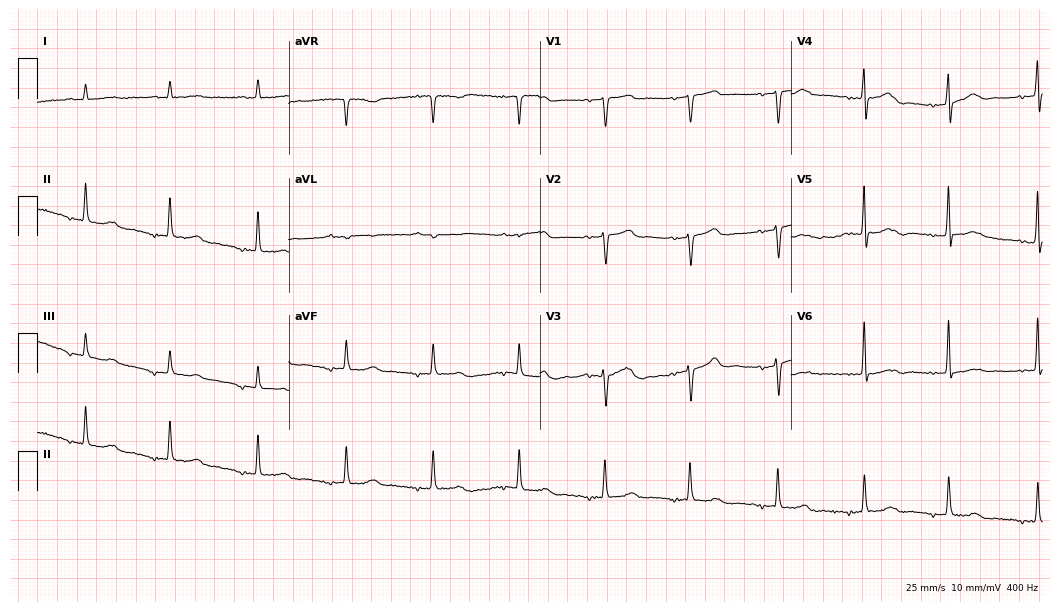
12-lead ECG from an 88-year-old female. Labelled as a normal ECG.